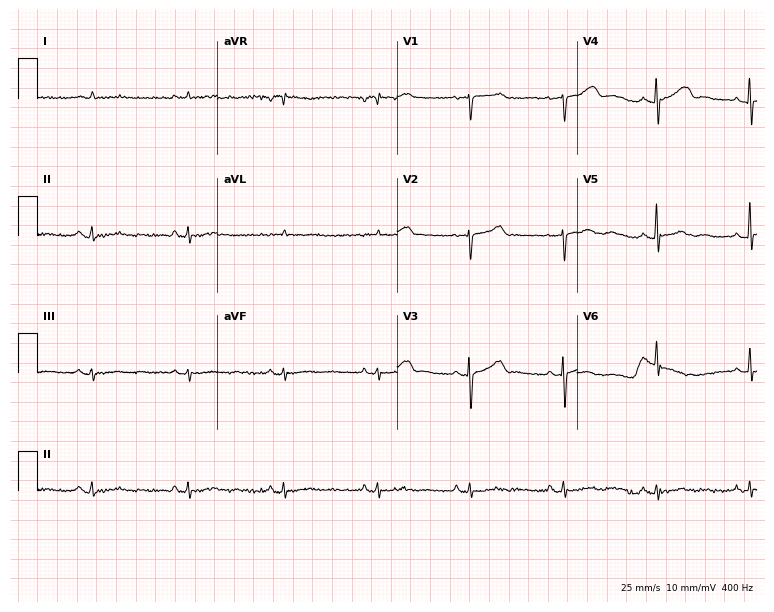
Standard 12-lead ECG recorded from a woman, 50 years old. None of these six findings is recorded: first-degree AV block, right bundle branch block (RBBB), left bundle branch block (LBBB), sinus bradycardia, atrial fibrillation (AF), sinus tachycardia. Other findings, if any, are not listed.